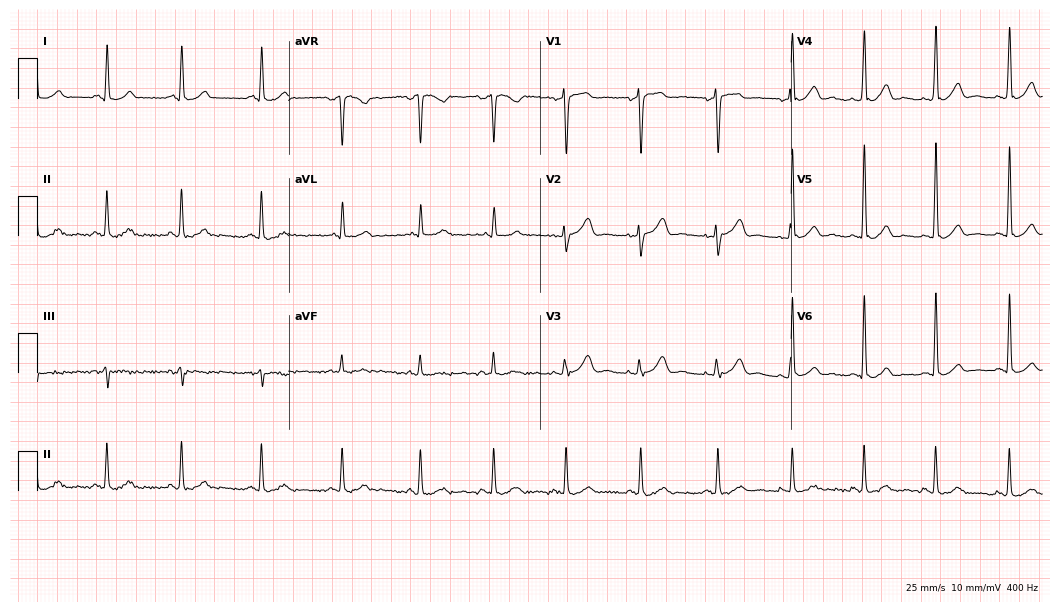
ECG — a 48-year-old woman. Labelled as a normal ECG.